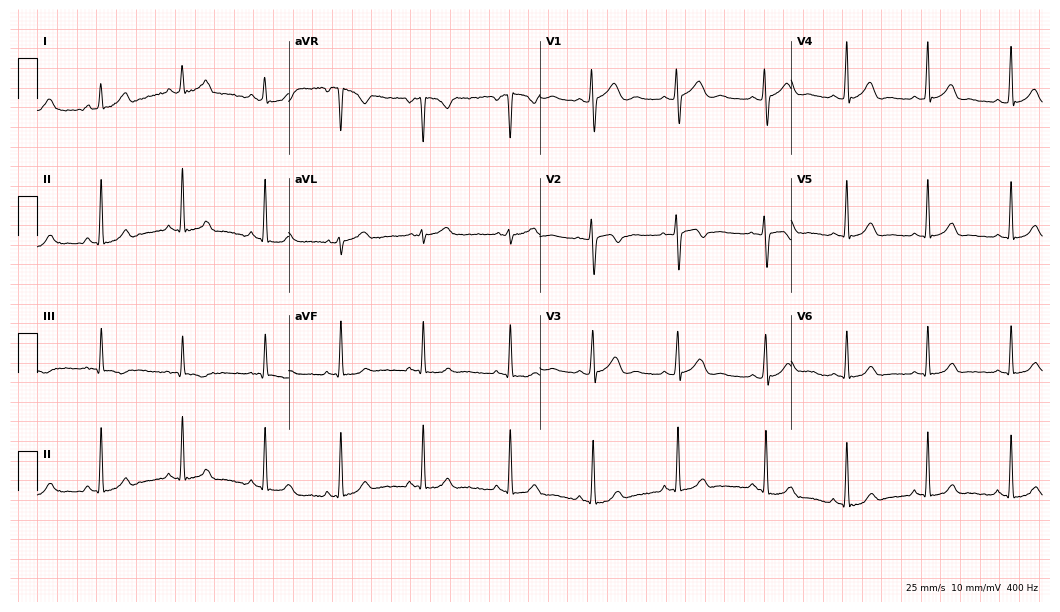
Electrocardiogram, a 19-year-old female. Overall reading on record: normal ECG.